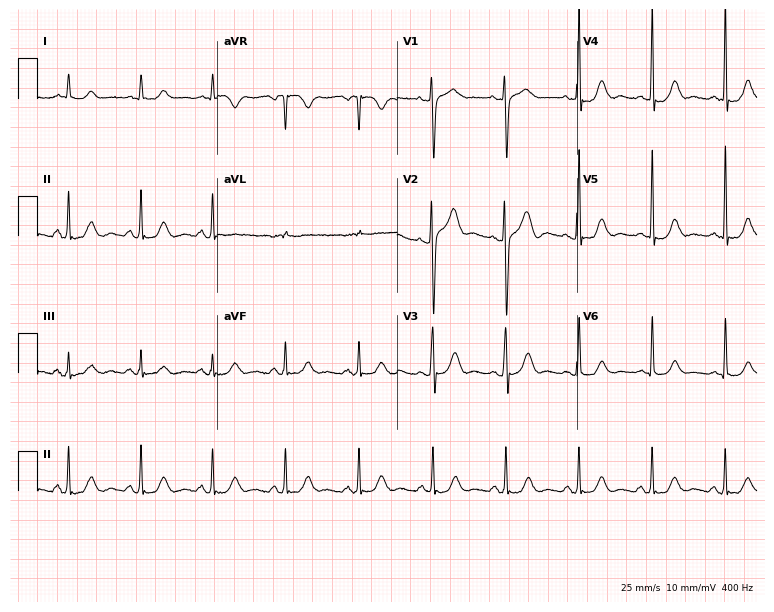
12-lead ECG from a male patient, 44 years old. Labelled as a normal ECG.